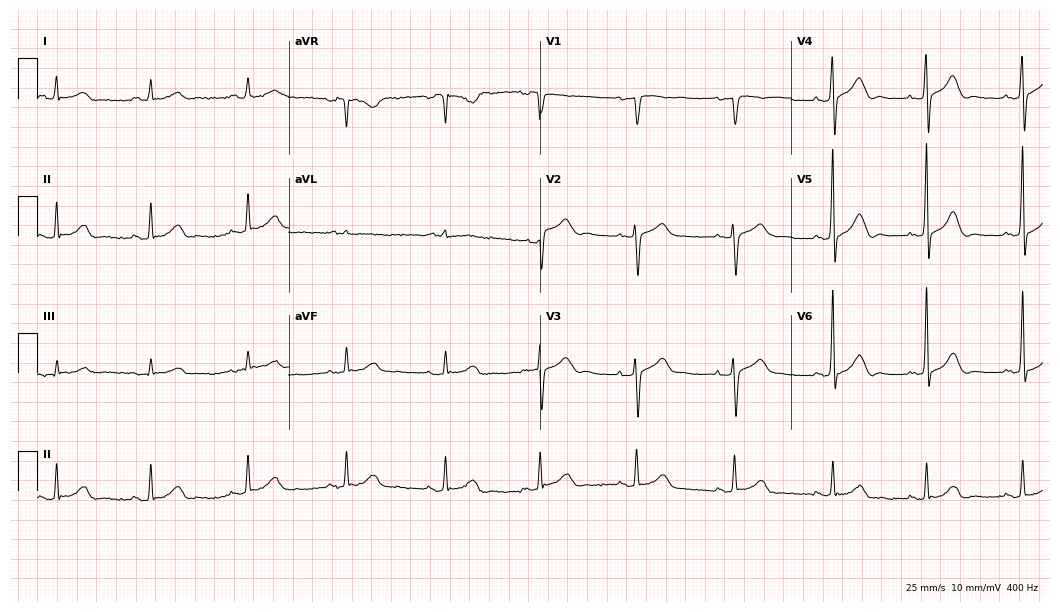
12-lead ECG (10.2-second recording at 400 Hz) from a female patient, 79 years old. Labelled as a normal ECG.